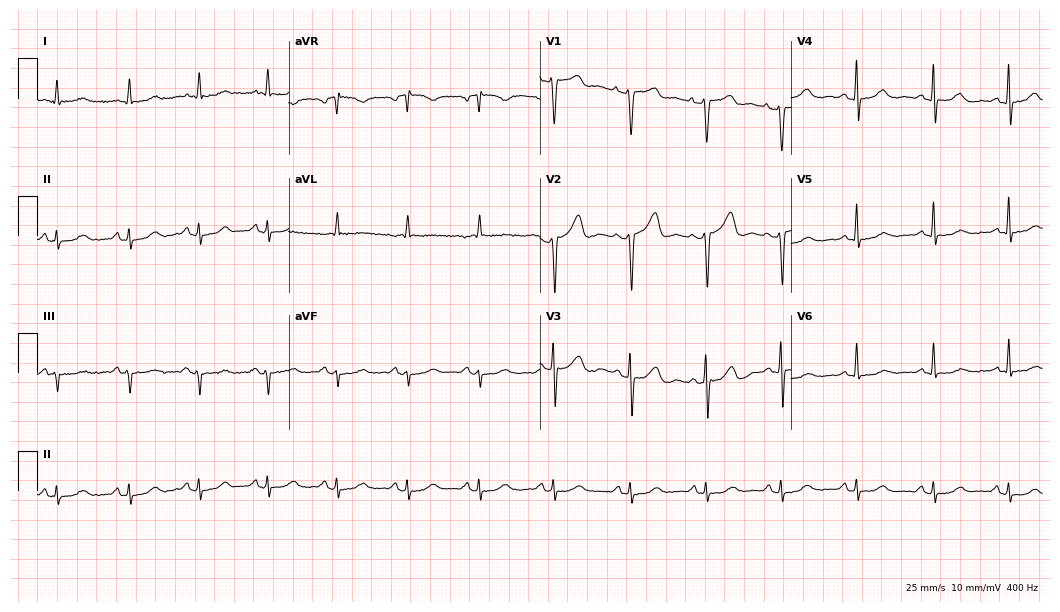
12-lead ECG from a male, 80 years old. Labelled as a normal ECG.